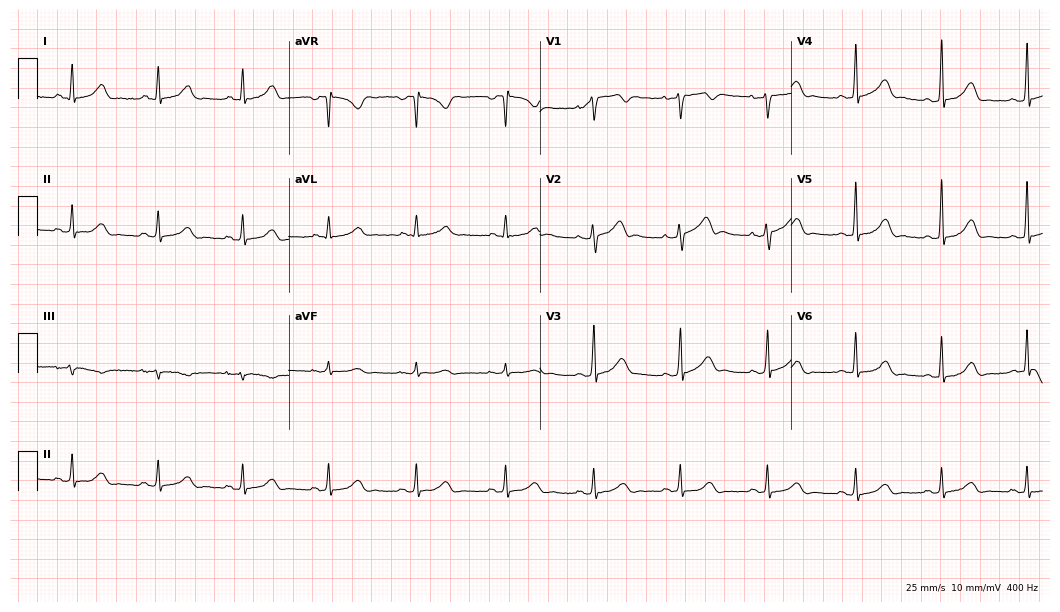
12-lead ECG from a woman, 50 years old (10.2-second recording at 400 Hz). Recorded interpretation: within normal limits.